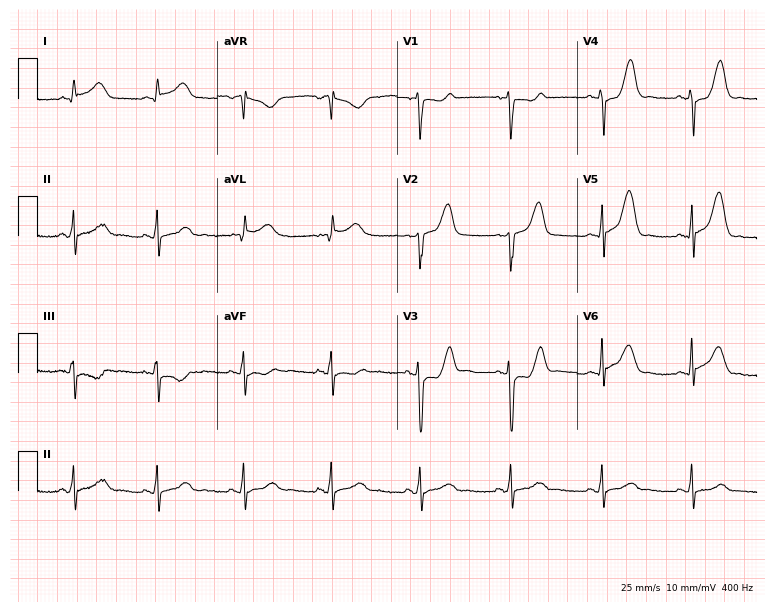
Resting 12-lead electrocardiogram (7.3-second recording at 400 Hz). Patient: a 45-year-old male. None of these six findings is recorded: first-degree AV block, right bundle branch block, left bundle branch block, sinus bradycardia, atrial fibrillation, sinus tachycardia. Other findings, if any, are not listed.